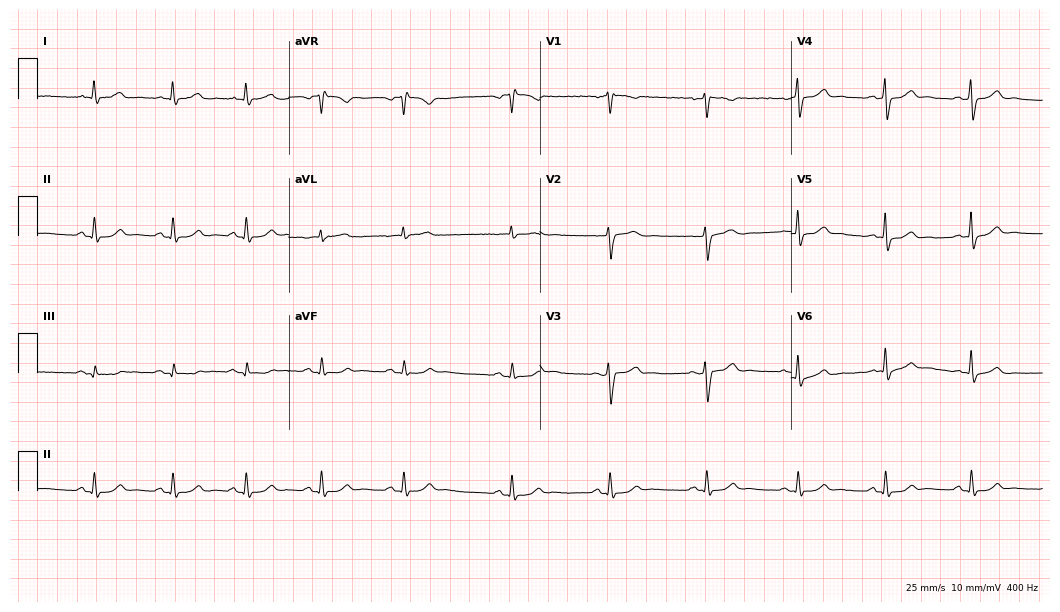
12-lead ECG from a female, 39 years old (10.2-second recording at 400 Hz). Recorded interpretation: within normal limits.